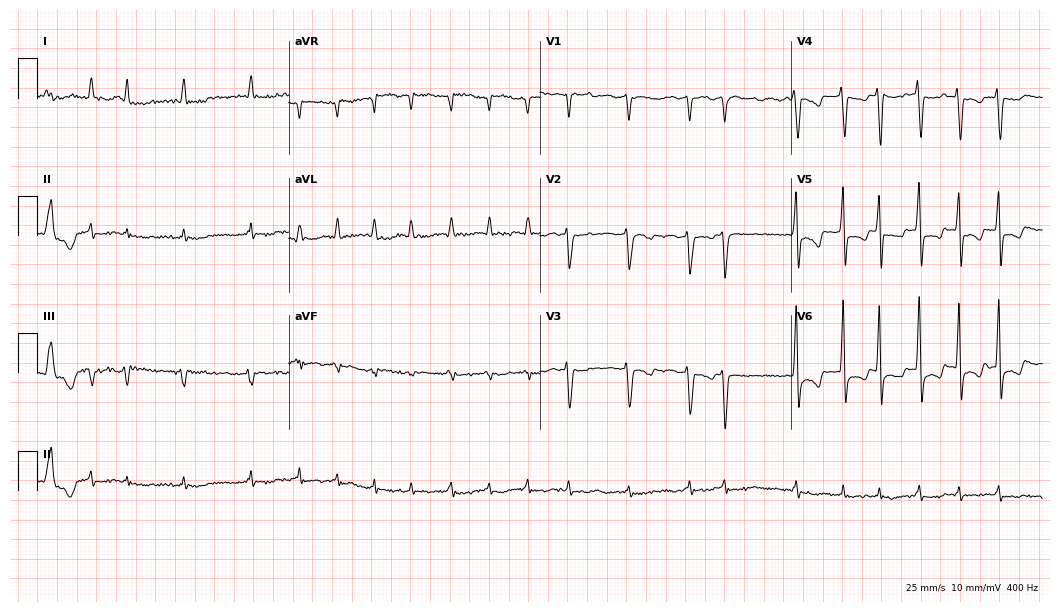
12-lead ECG from an 80-year-old man (10.2-second recording at 400 Hz). Shows atrial fibrillation (AF).